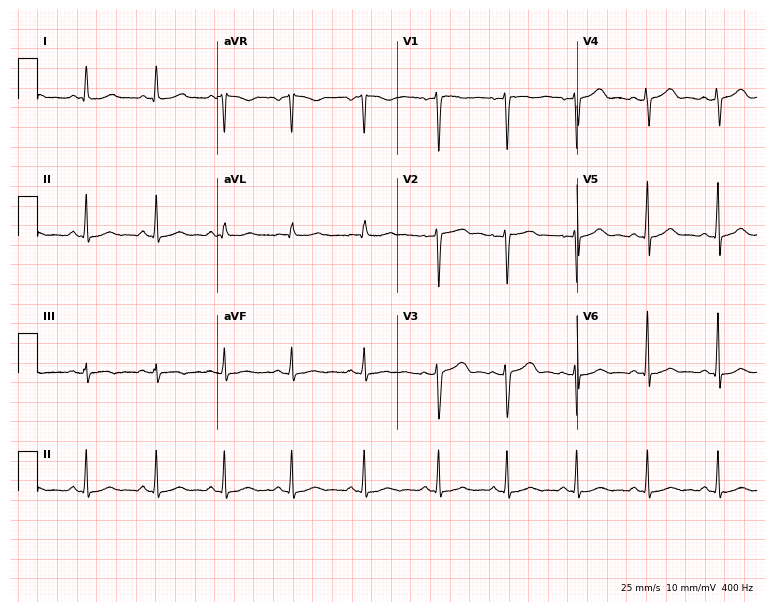
Standard 12-lead ECG recorded from a 36-year-old female. Read as a normal ECG.